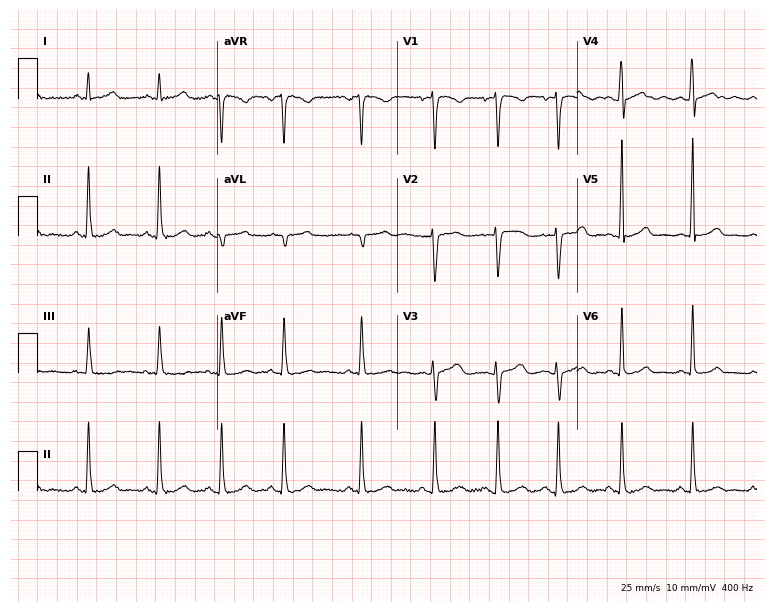
12-lead ECG (7.3-second recording at 400 Hz) from a woman, 19 years old. Labelled as a normal ECG.